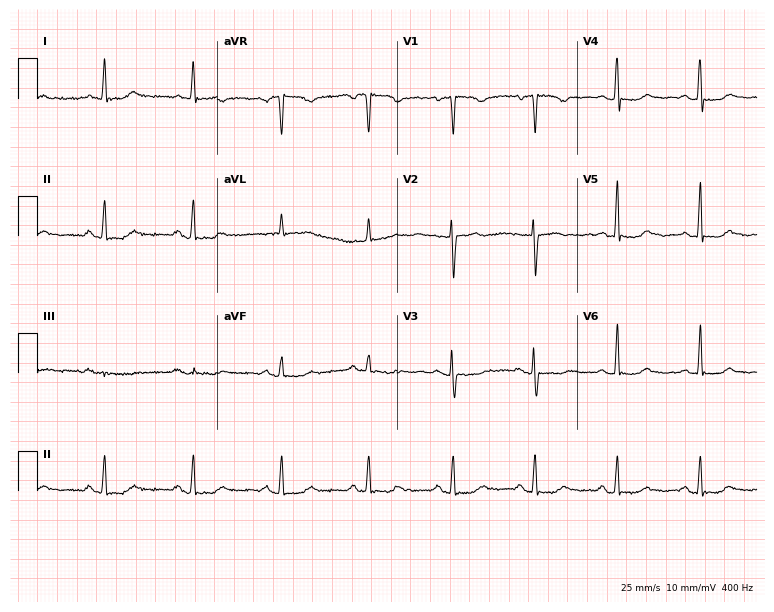
ECG — a female, 60 years old. Labelled as a normal ECG.